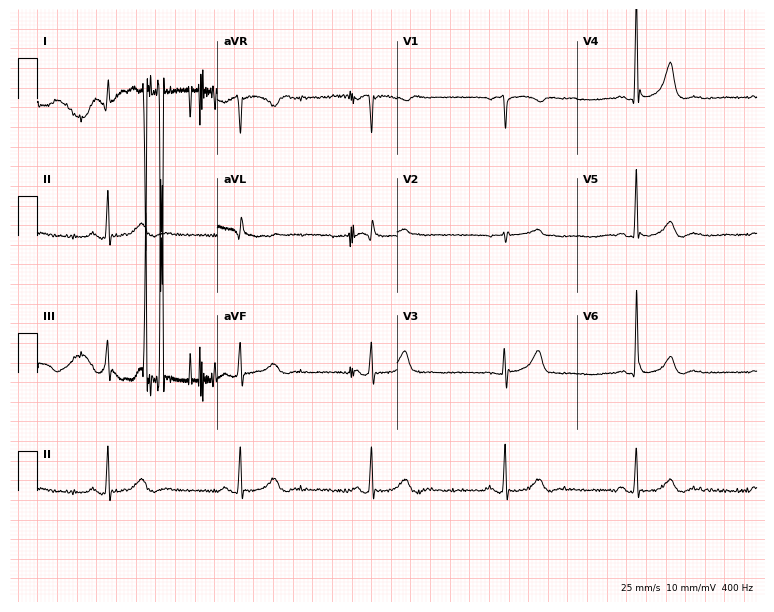
12-lead ECG from an 80-year-old man. Findings include sinus bradycardia (a sinus rate of 50 beats per minute or less).